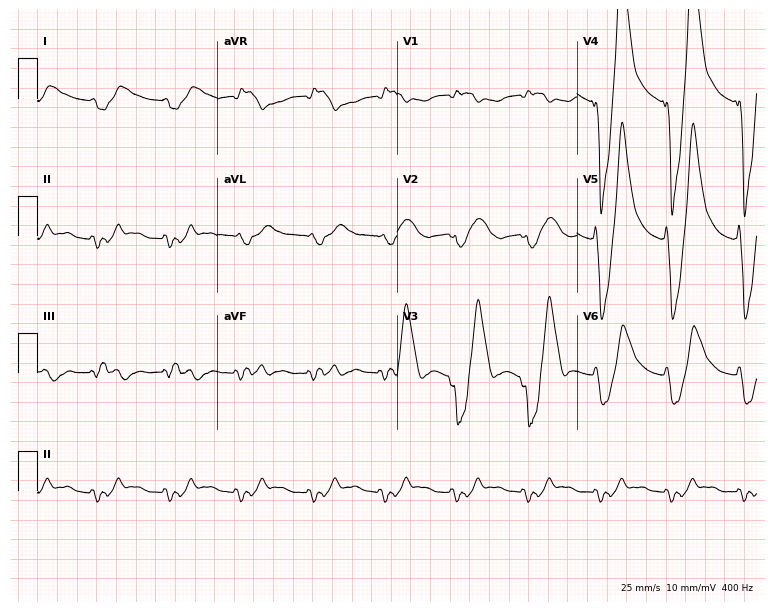
Resting 12-lead electrocardiogram. Patient: a 66-year-old man. None of these six findings is recorded: first-degree AV block, right bundle branch block (RBBB), left bundle branch block (LBBB), sinus bradycardia, atrial fibrillation (AF), sinus tachycardia. Other findings, if any, are not listed.